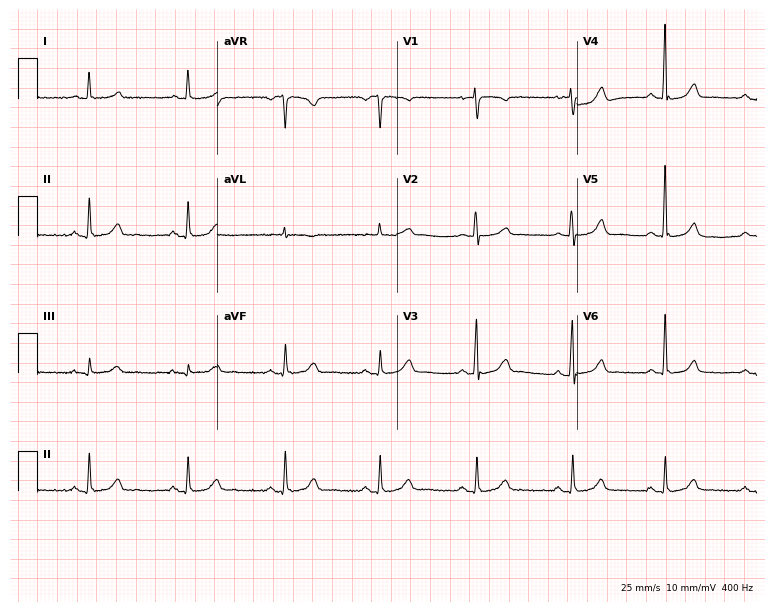
Standard 12-lead ECG recorded from a 76-year-old female. None of these six findings is recorded: first-degree AV block, right bundle branch block, left bundle branch block, sinus bradycardia, atrial fibrillation, sinus tachycardia. Other findings, if any, are not listed.